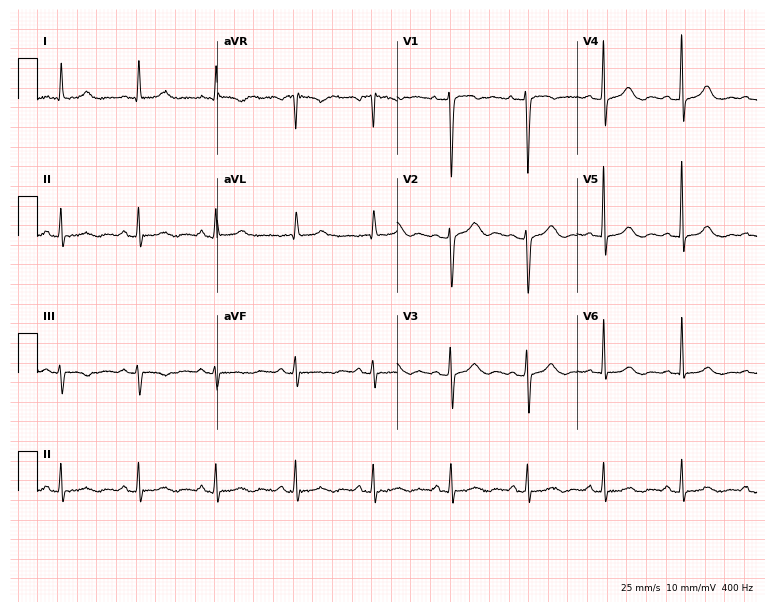
Resting 12-lead electrocardiogram (7.3-second recording at 400 Hz). Patient: a female, 77 years old. None of these six findings is recorded: first-degree AV block, right bundle branch block, left bundle branch block, sinus bradycardia, atrial fibrillation, sinus tachycardia.